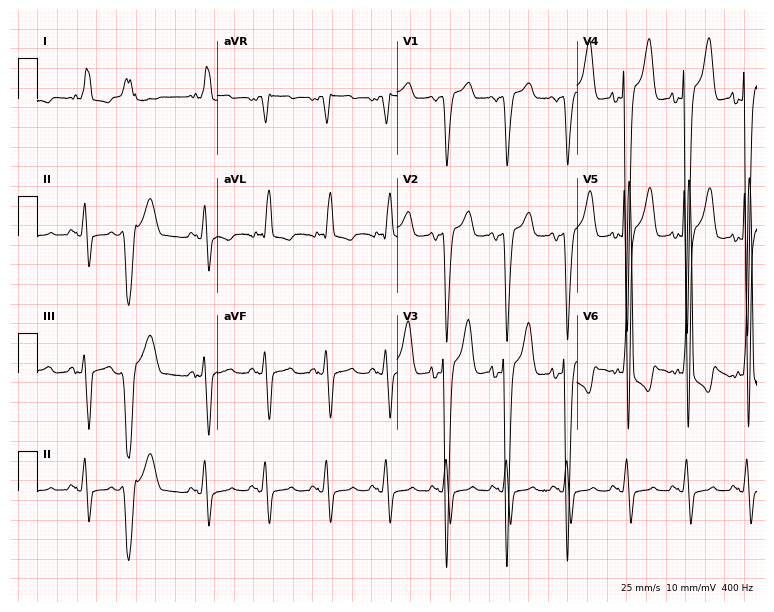
12-lead ECG from a 76-year-old male patient (7.3-second recording at 400 Hz). Shows left bundle branch block.